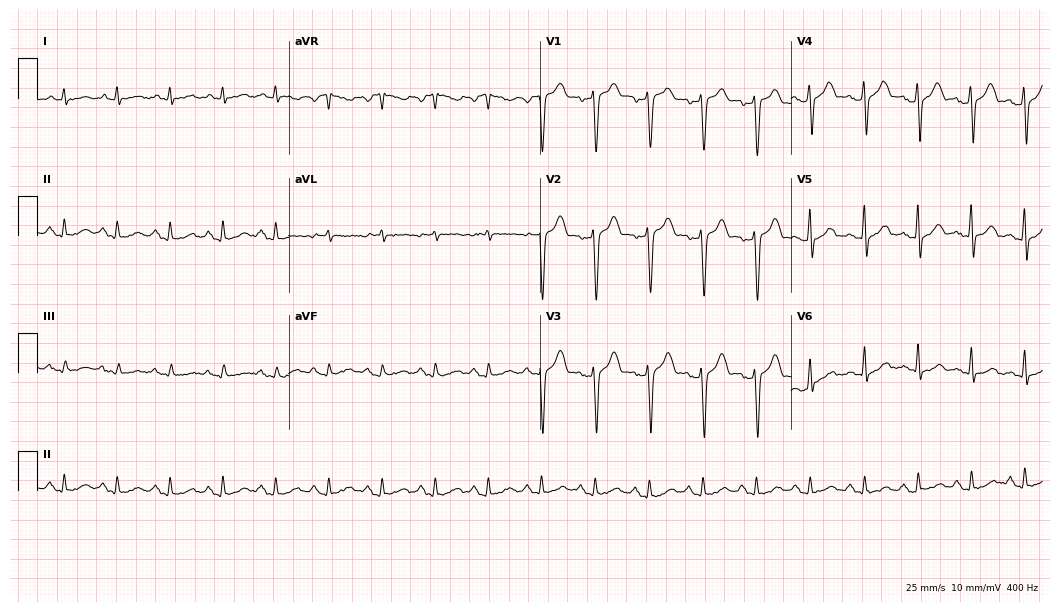
Resting 12-lead electrocardiogram (10.2-second recording at 400 Hz). Patient: a 43-year-old male. The tracing shows sinus tachycardia (a sinus rate of 100 beats per minute or more).